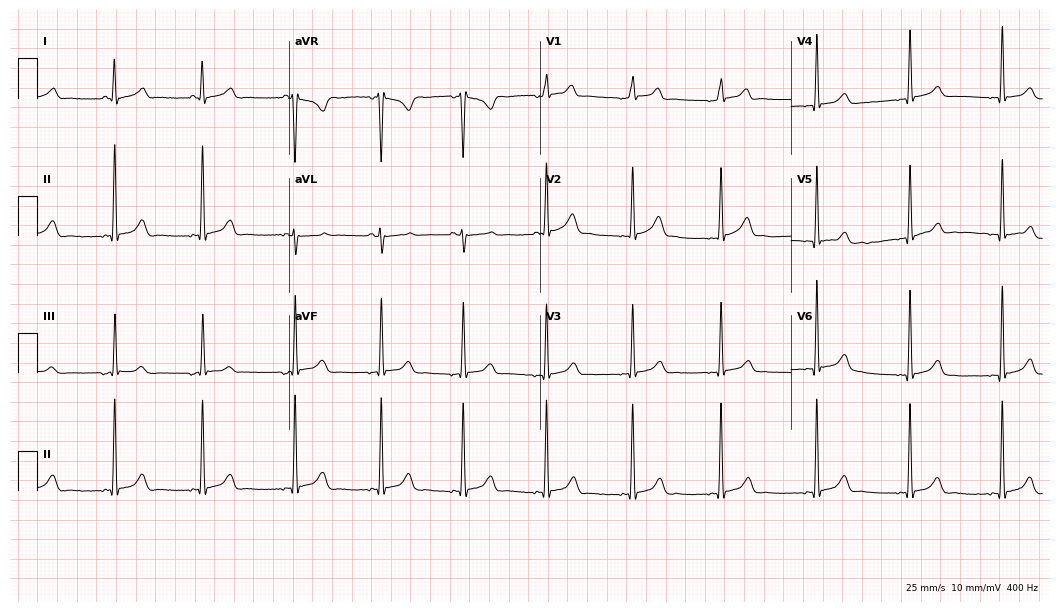
Standard 12-lead ECG recorded from a man, 20 years old. Read as a normal ECG.